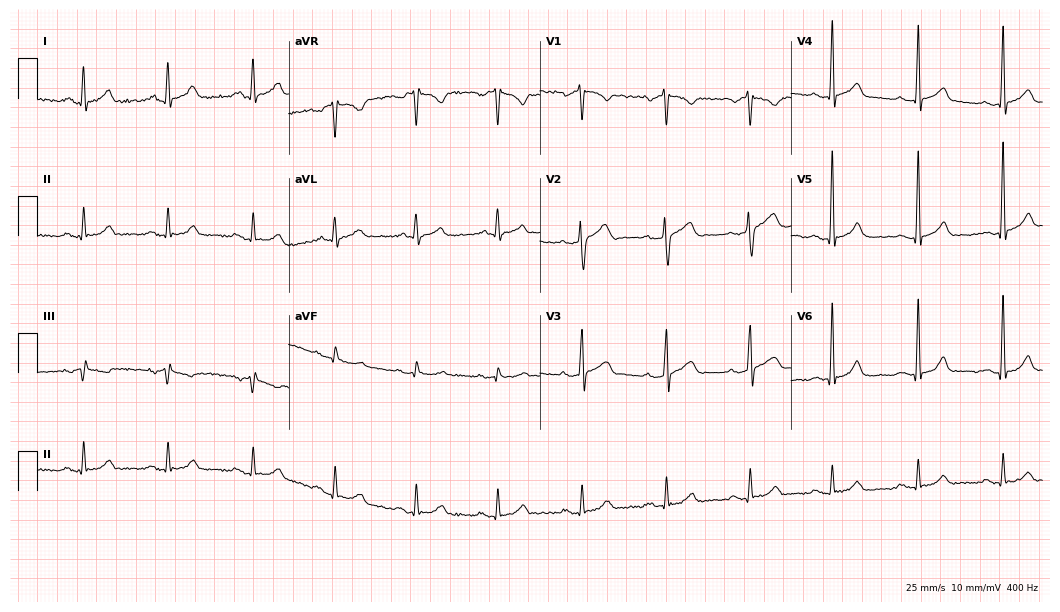
Standard 12-lead ECG recorded from a 43-year-old male. Read as a normal ECG.